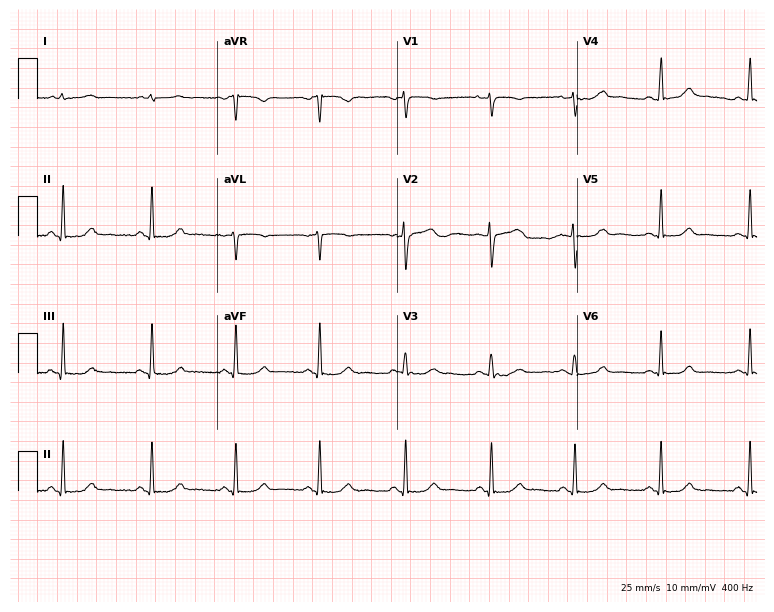
Standard 12-lead ECG recorded from a woman, 35 years old. Read as a normal ECG.